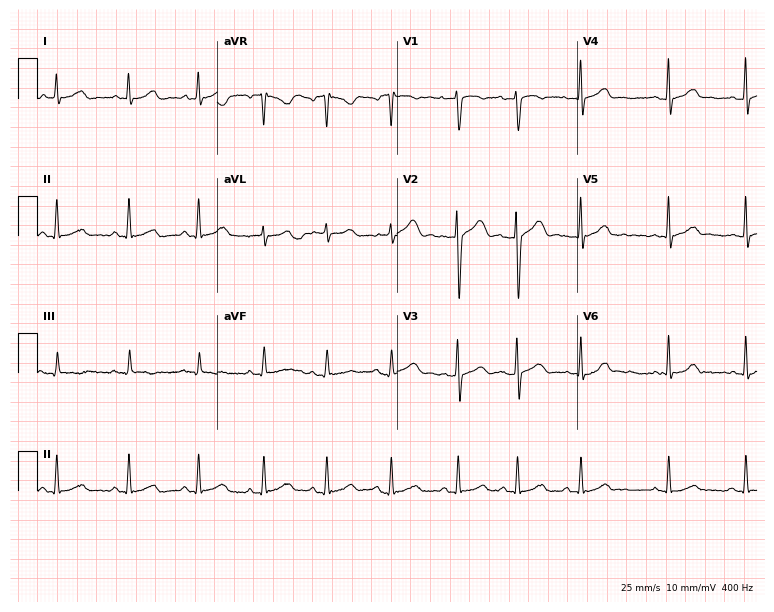
ECG (7.3-second recording at 400 Hz) — a 20-year-old woman. Labelled as a normal ECG.